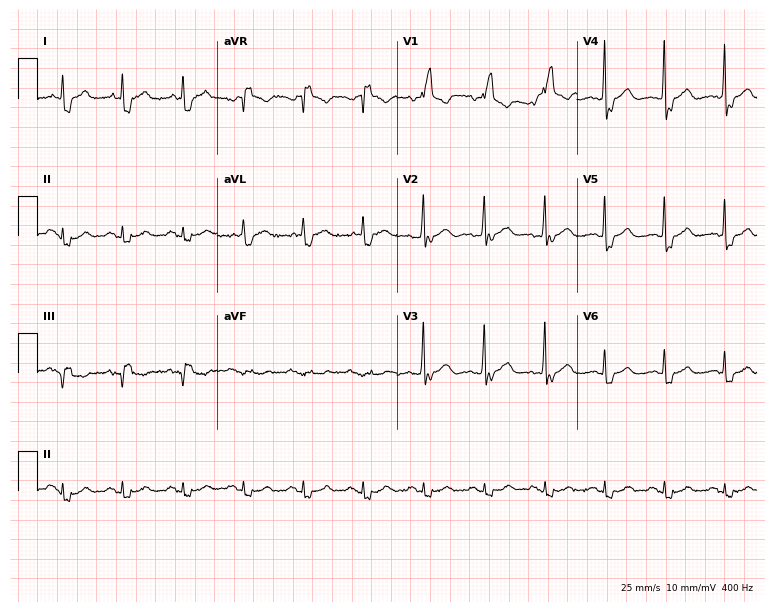
ECG (7.3-second recording at 400 Hz) — a male, 79 years old. Findings include right bundle branch block (RBBB).